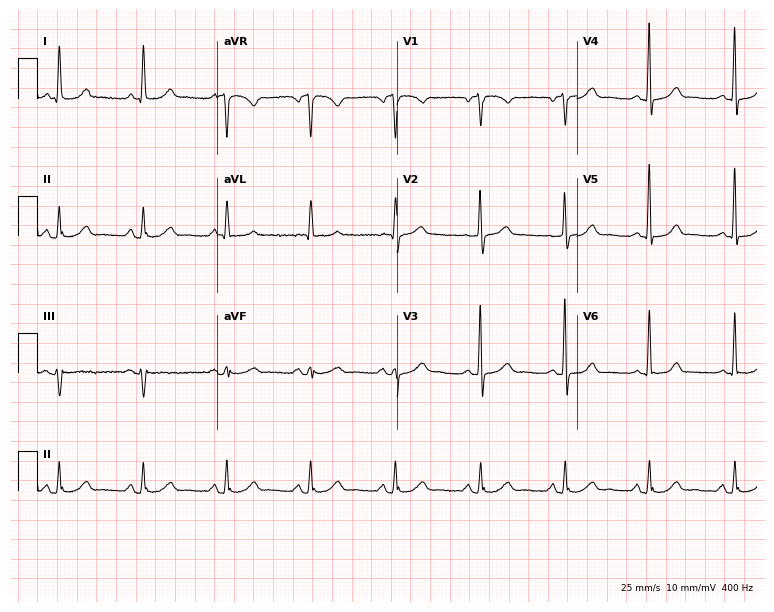
12-lead ECG (7.3-second recording at 400 Hz) from a female, 71 years old. Labelled as a normal ECG.